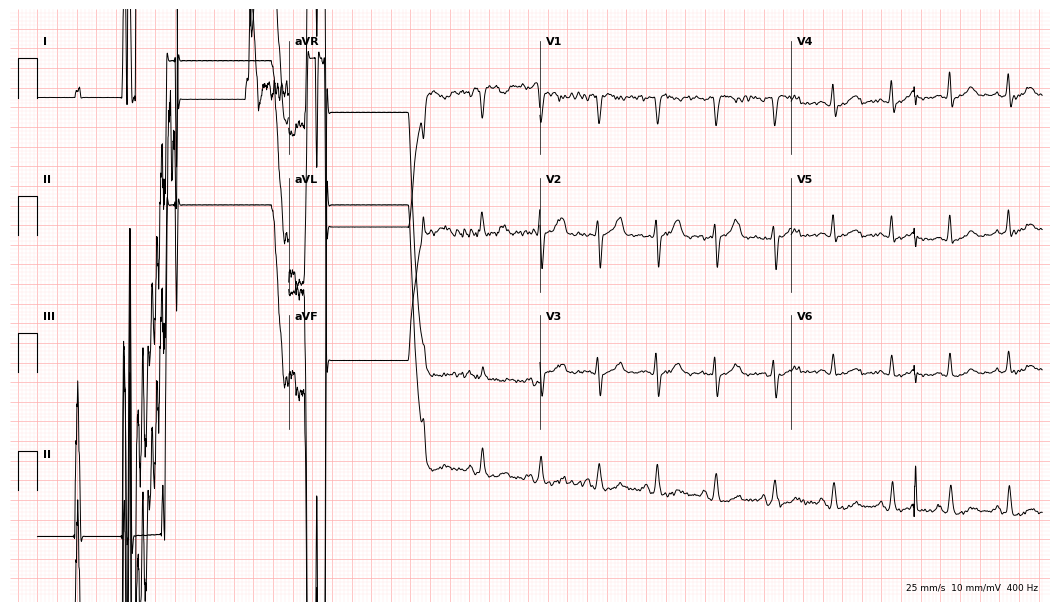
Standard 12-lead ECG recorded from a 47-year-old female. None of these six findings is recorded: first-degree AV block, right bundle branch block, left bundle branch block, sinus bradycardia, atrial fibrillation, sinus tachycardia. Other findings, if any, are not listed.